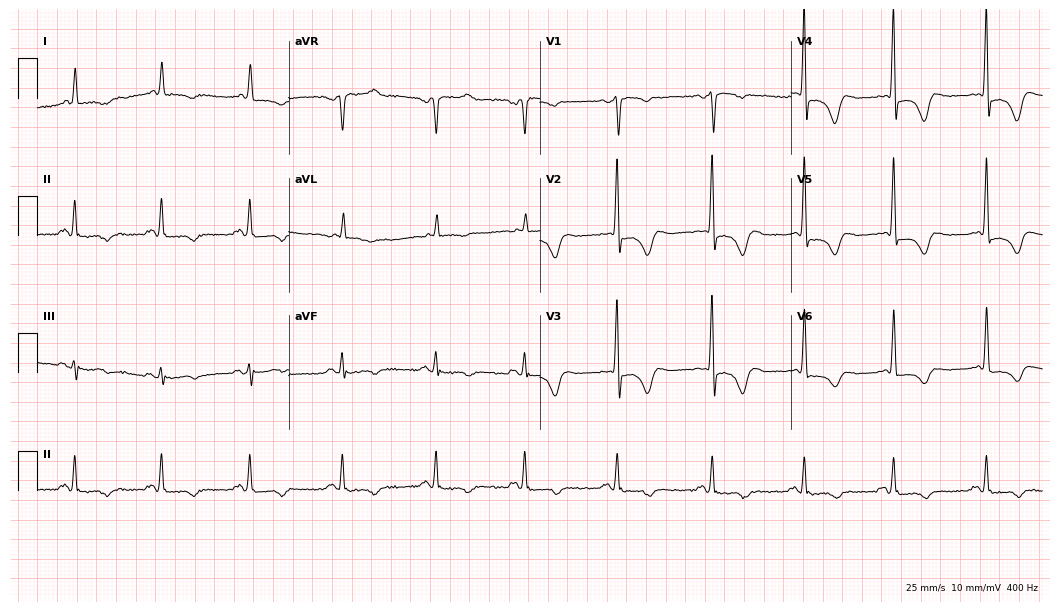
12-lead ECG from an 81-year-old female patient (10.2-second recording at 400 Hz). No first-degree AV block, right bundle branch block, left bundle branch block, sinus bradycardia, atrial fibrillation or sinus tachycardia recorded for this tracing.